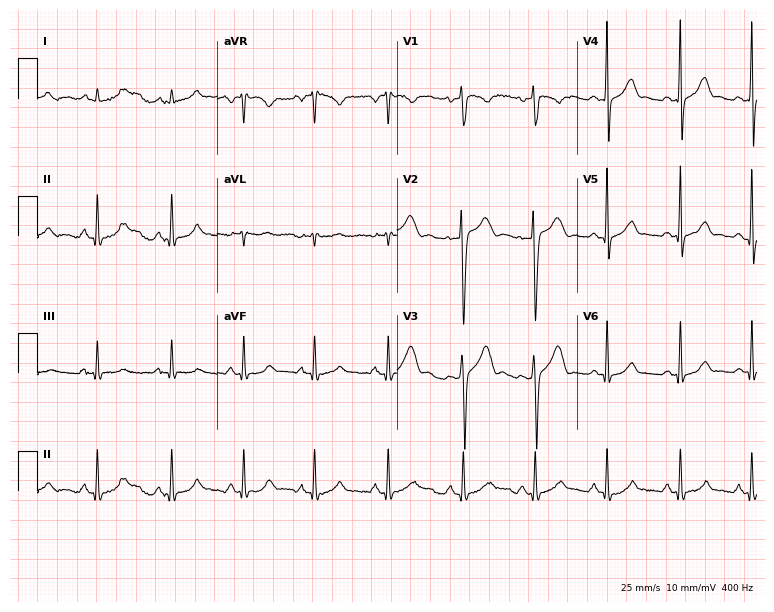
Electrocardiogram, a man, 23 years old. Of the six screened findings (first-degree AV block, right bundle branch block, left bundle branch block, sinus bradycardia, atrial fibrillation, sinus tachycardia), none is recorded.